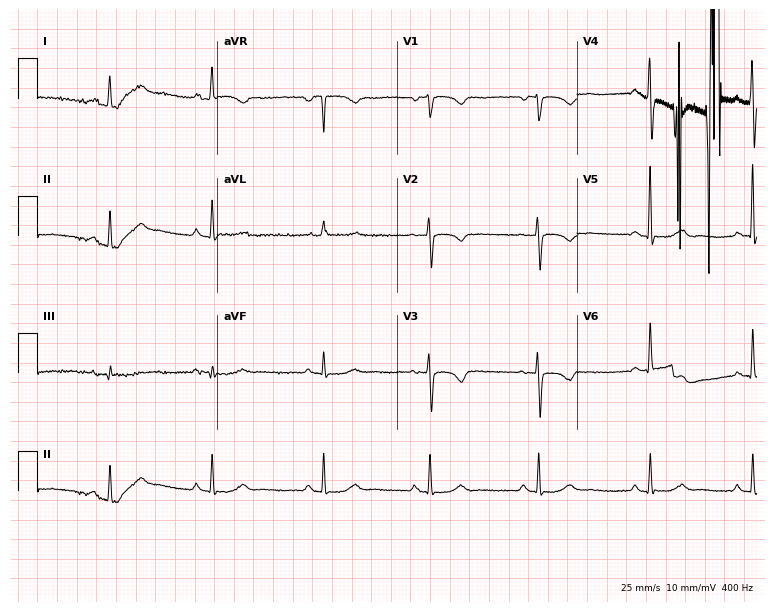
Standard 12-lead ECG recorded from a female, 67 years old. Read as a normal ECG.